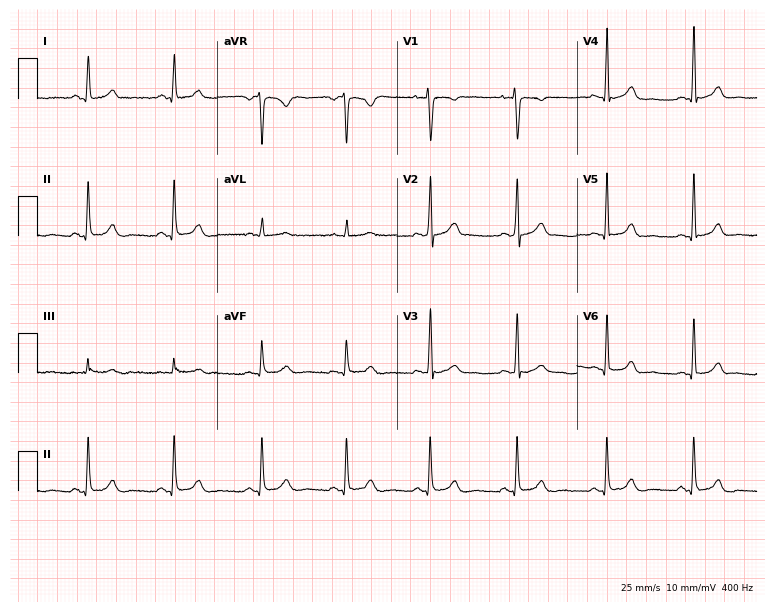
12-lead ECG (7.3-second recording at 400 Hz) from a woman, 19 years old. Labelled as a normal ECG.